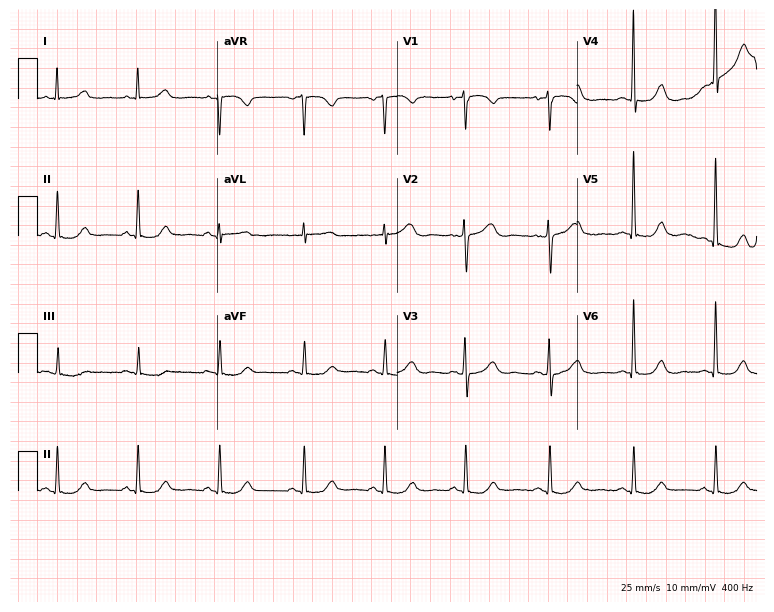
12-lead ECG from a man, 43 years old. Recorded interpretation: within normal limits.